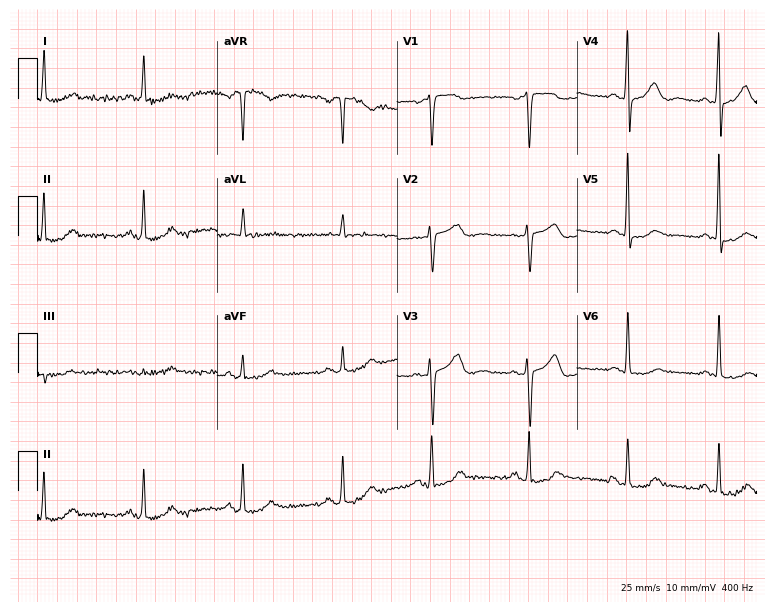
ECG — a 58-year-old female. Screened for six findings — first-degree AV block, right bundle branch block (RBBB), left bundle branch block (LBBB), sinus bradycardia, atrial fibrillation (AF), sinus tachycardia — none is recorded.